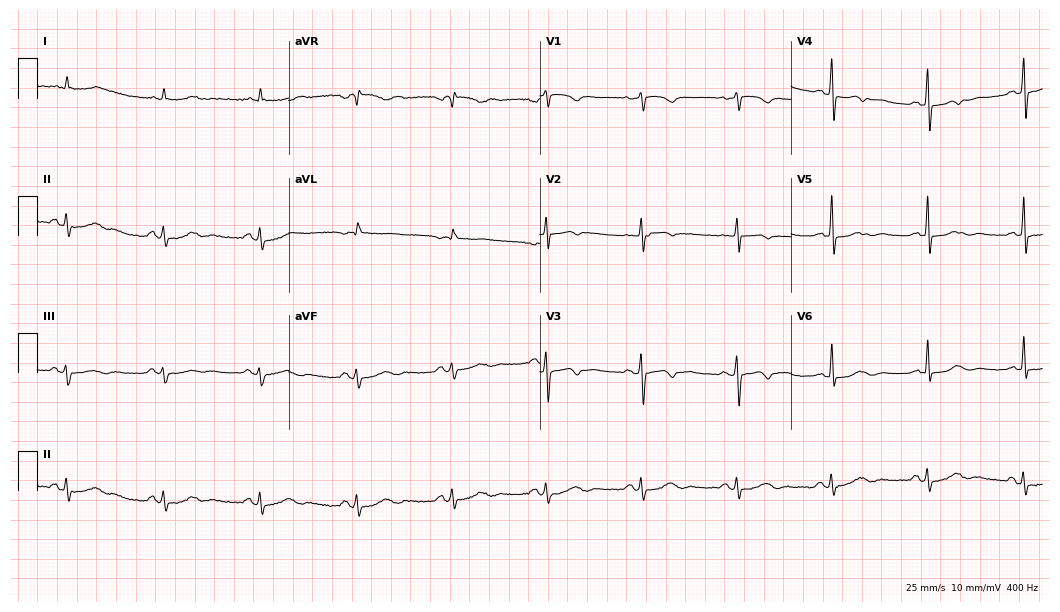
12-lead ECG from a woman, 62 years old. Screened for six findings — first-degree AV block, right bundle branch block (RBBB), left bundle branch block (LBBB), sinus bradycardia, atrial fibrillation (AF), sinus tachycardia — none is recorded. Other findings, if any, are not listed.